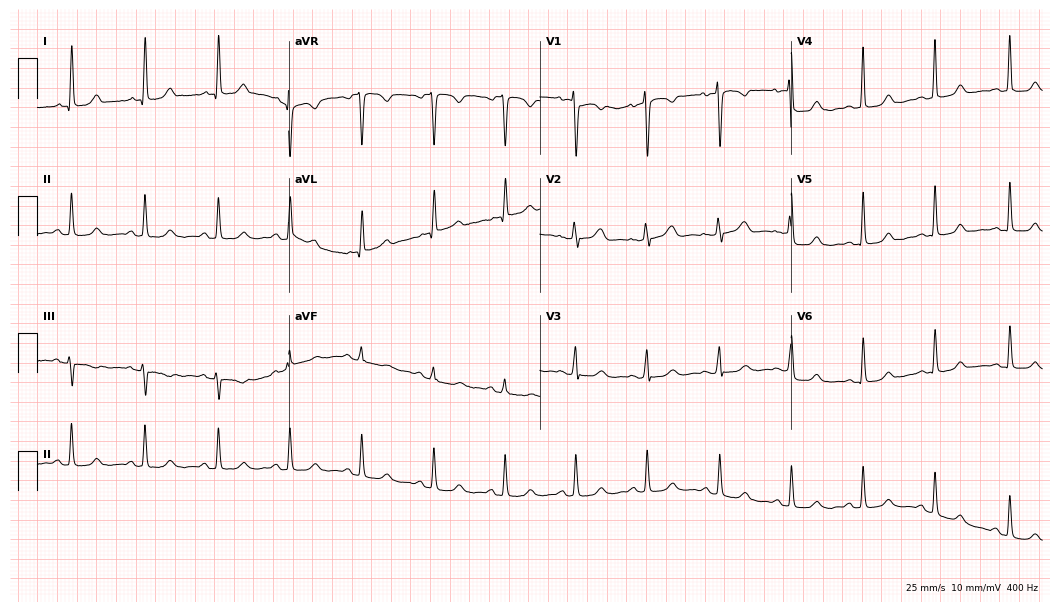
12-lead ECG (10.2-second recording at 400 Hz) from a woman, 49 years old. Screened for six findings — first-degree AV block, right bundle branch block, left bundle branch block, sinus bradycardia, atrial fibrillation, sinus tachycardia — none is recorded. Only these six findings were labelled.